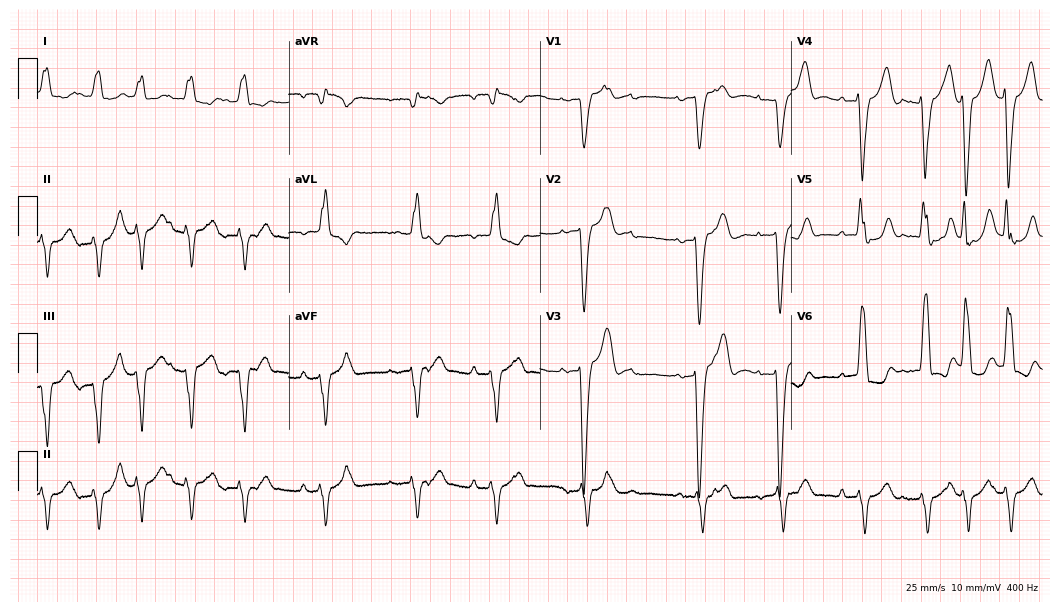
12-lead ECG from a female, 70 years old (10.2-second recording at 400 Hz). Shows left bundle branch block, atrial fibrillation.